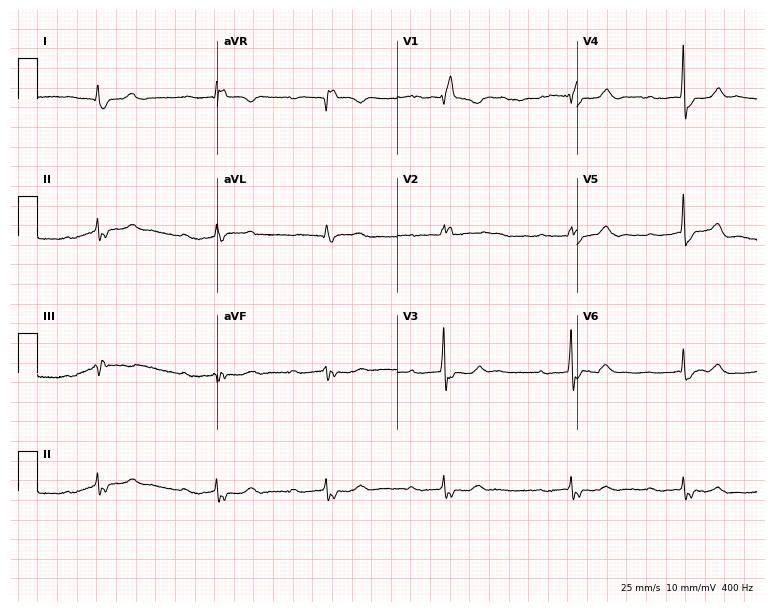
Resting 12-lead electrocardiogram. Patient: a woman, 79 years old. The tracing shows first-degree AV block, right bundle branch block.